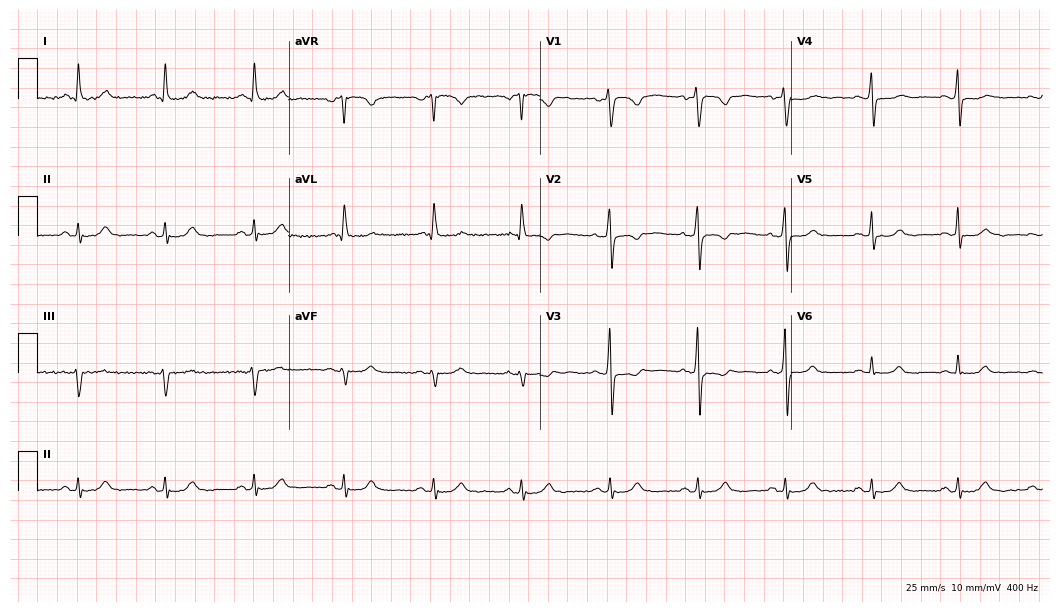
Standard 12-lead ECG recorded from a 58-year-old female patient (10.2-second recording at 400 Hz). Read as a normal ECG.